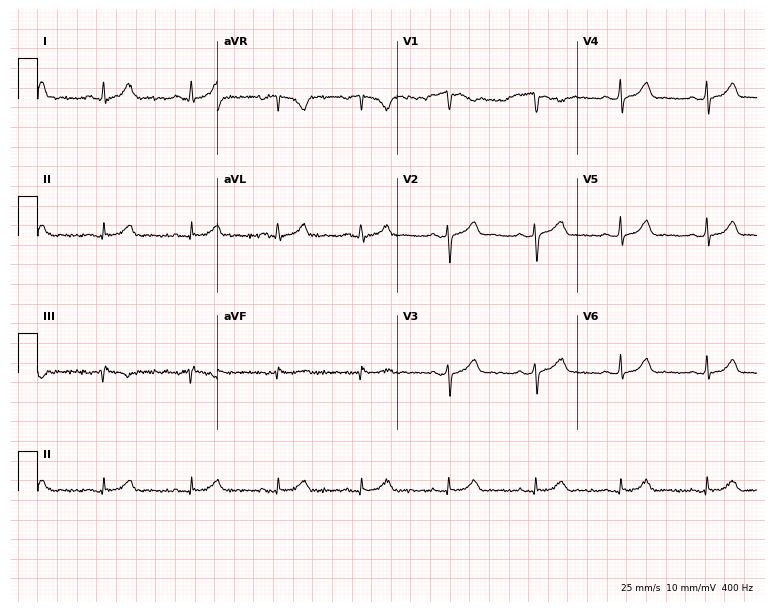
12-lead ECG from a 38-year-old female patient. Recorded interpretation: within normal limits.